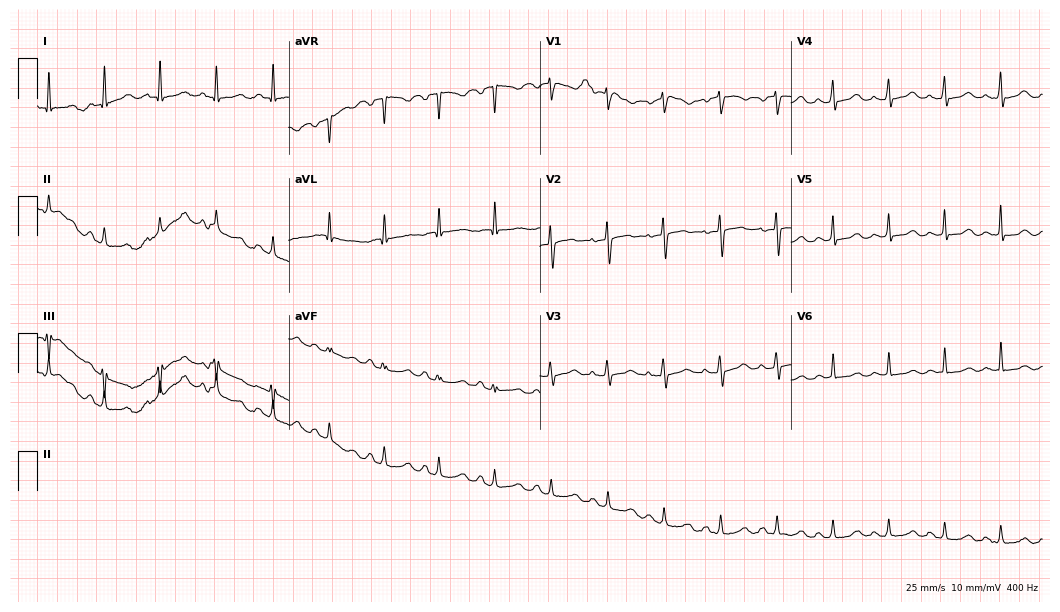
Resting 12-lead electrocardiogram. Patient: a 63-year-old female. None of these six findings is recorded: first-degree AV block, right bundle branch block (RBBB), left bundle branch block (LBBB), sinus bradycardia, atrial fibrillation (AF), sinus tachycardia.